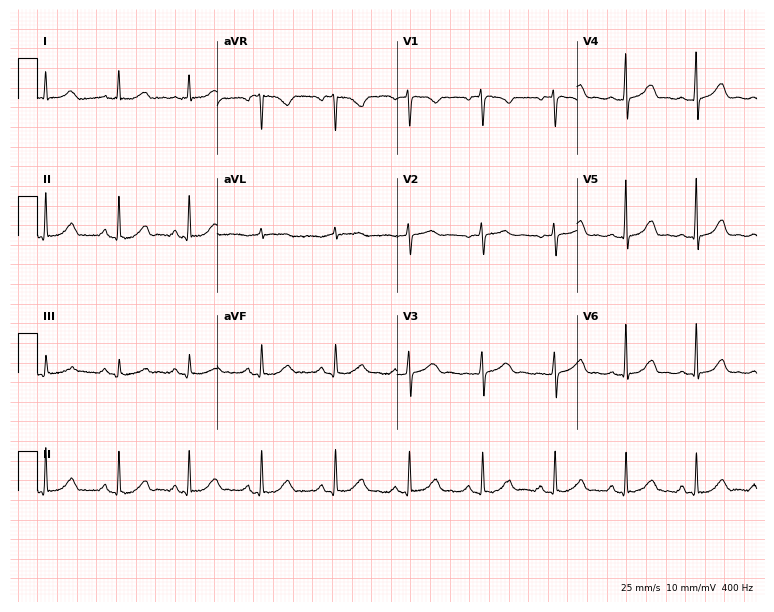
Resting 12-lead electrocardiogram. Patient: a female, 46 years old. None of these six findings is recorded: first-degree AV block, right bundle branch block, left bundle branch block, sinus bradycardia, atrial fibrillation, sinus tachycardia. Other findings, if any, are not listed.